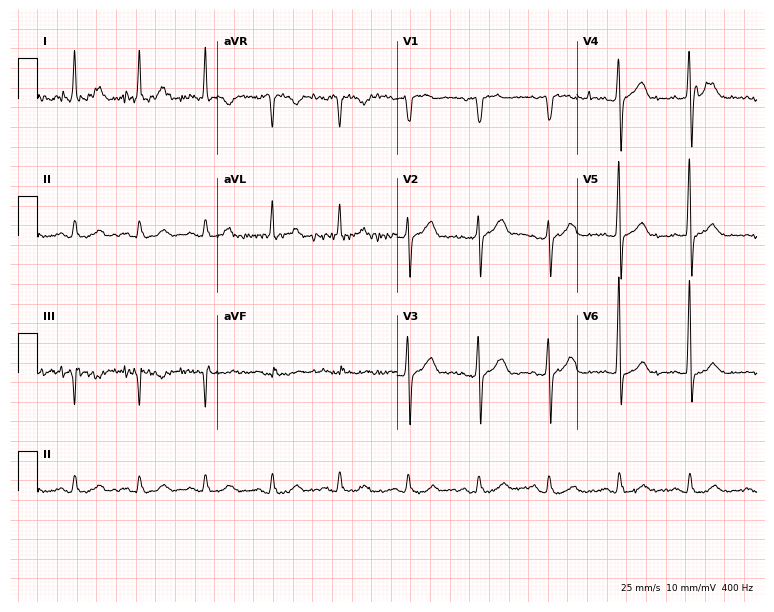
12-lead ECG from a 53-year-old man. Screened for six findings — first-degree AV block, right bundle branch block, left bundle branch block, sinus bradycardia, atrial fibrillation, sinus tachycardia — none is recorded.